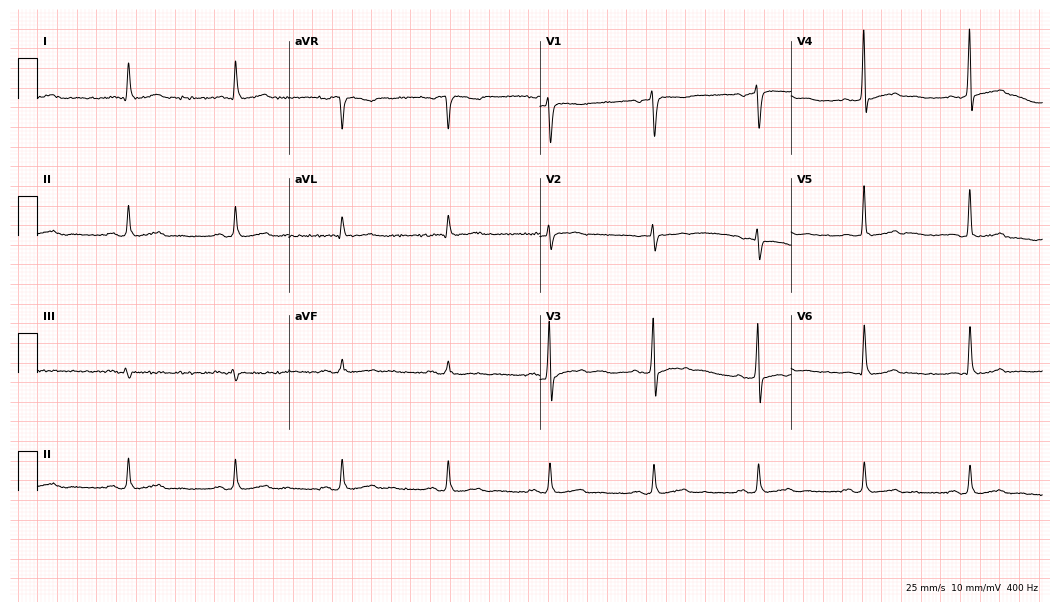
Electrocardiogram (10.2-second recording at 400 Hz), a 65-year-old male patient. Of the six screened findings (first-degree AV block, right bundle branch block (RBBB), left bundle branch block (LBBB), sinus bradycardia, atrial fibrillation (AF), sinus tachycardia), none is recorded.